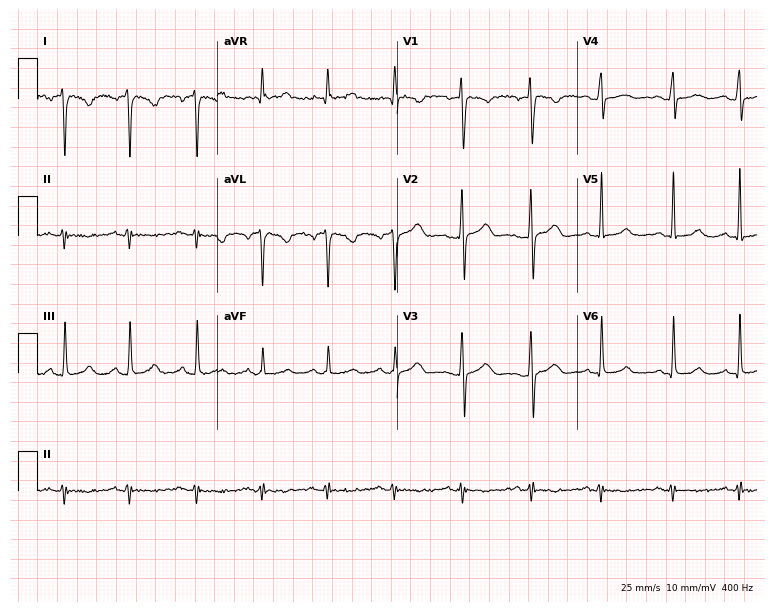
ECG — a woman, 41 years old. Screened for six findings — first-degree AV block, right bundle branch block, left bundle branch block, sinus bradycardia, atrial fibrillation, sinus tachycardia — none is recorded.